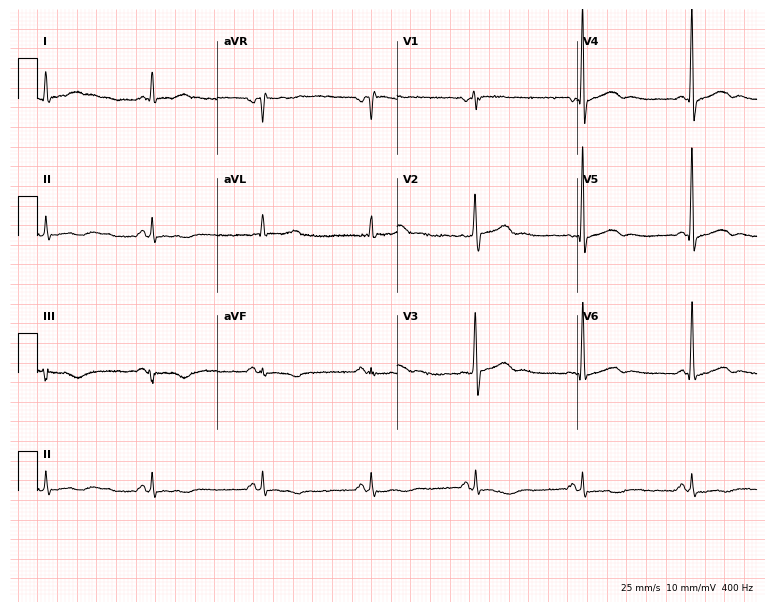
12-lead ECG from a 72-year-old male patient. No first-degree AV block, right bundle branch block, left bundle branch block, sinus bradycardia, atrial fibrillation or sinus tachycardia recorded for this tracing. Other findings, if any, are not listed.